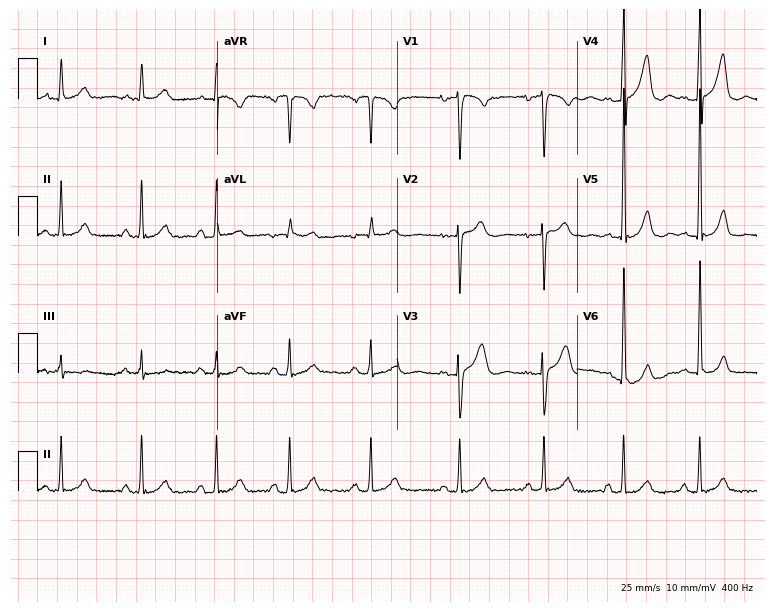
ECG (7.3-second recording at 400 Hz) — a 46-year-old male. Labelled as a normal ECG.